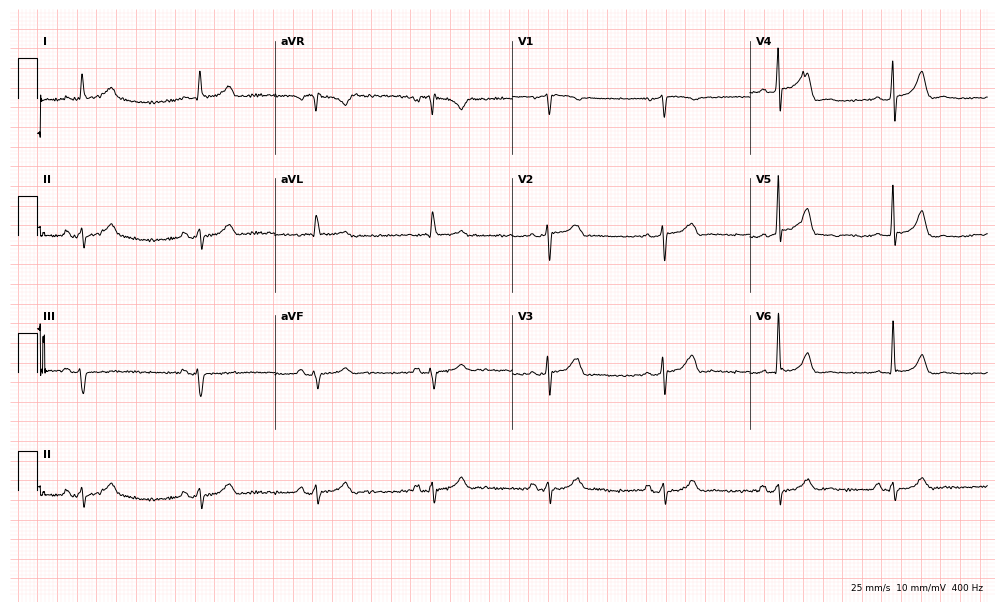
ECG (9.7-second recording at 400 Hz) — a male patient, 61 years old. Findings include right bundle branch block (RBBB), sinus bradycardia (a sinus rate of 50 beats per minute or less).